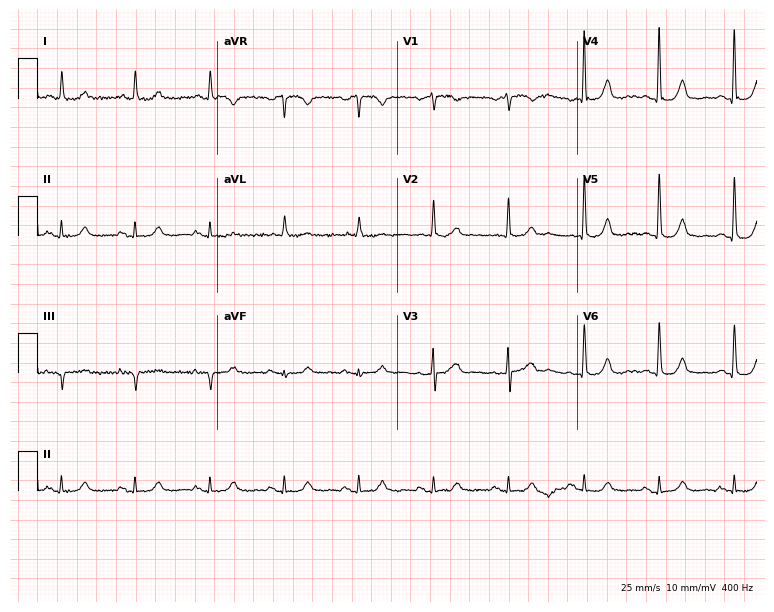
Resting 12-lead electrocardiogram (7.3-second recording at 400 Hz). Patient: a 65-year-old male. Read as a normal ECG.